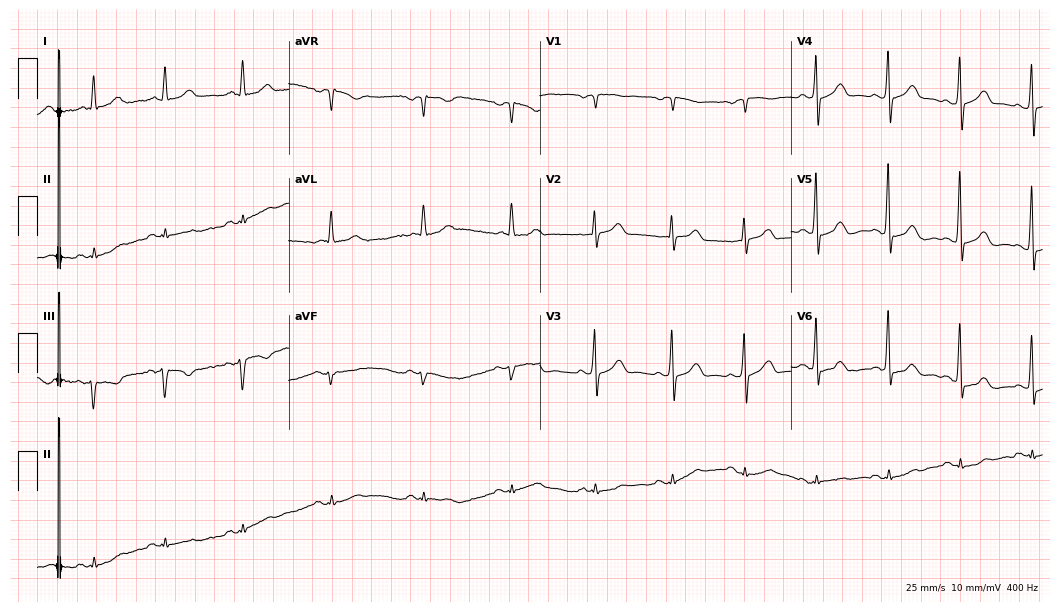
12-lead ECG from a 75-year-old male. Labelled as a normal ECG.